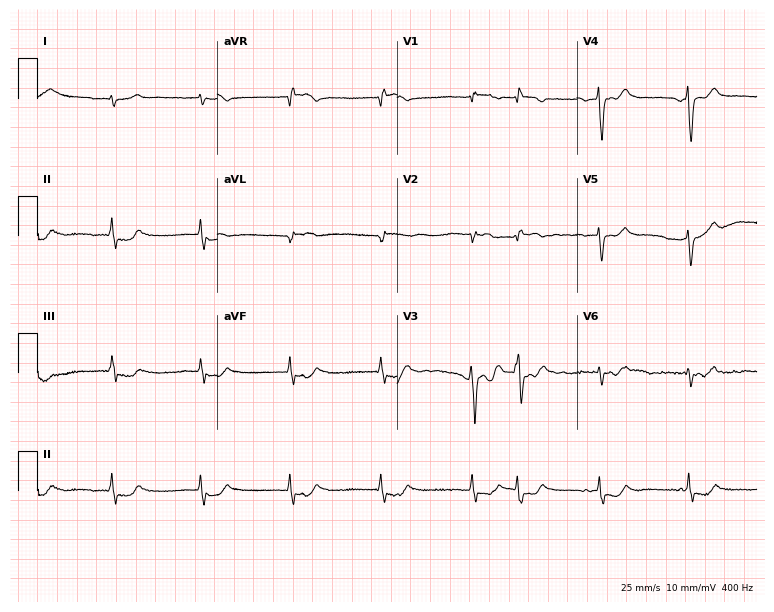
Electrocardiogram, a 77-year-old man. Of the six screened findings (first-degree AV block, right bundle branch block, left bundle branch block, sinus bradycardia, atrial fibrillation, sinus tachycardia), none is recorded.